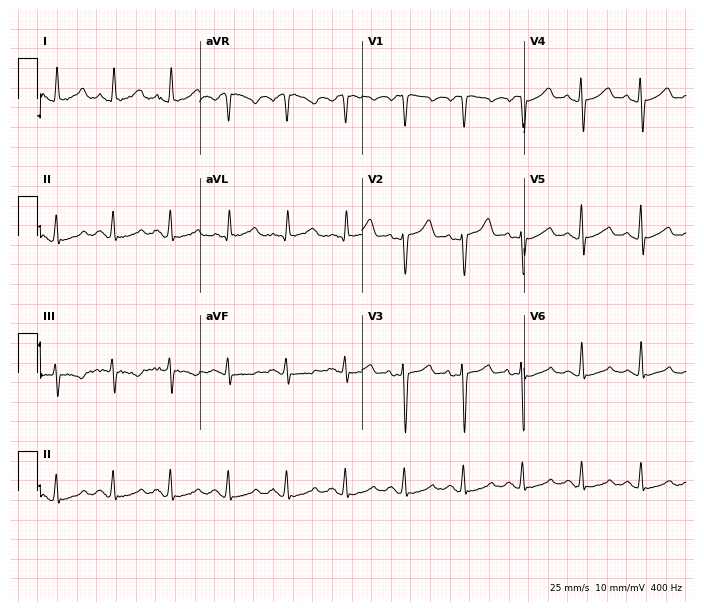
12-lead ECG from a female patient, 49 years old (6.6-second recording at 400 Hz). No first-degree AV block, right bundle branch block (RBBB), left bundle branch block (LBBB), sinus bradycardia, atrial fibrillation (AF) or sinus tachycardia recorded for this tracing.